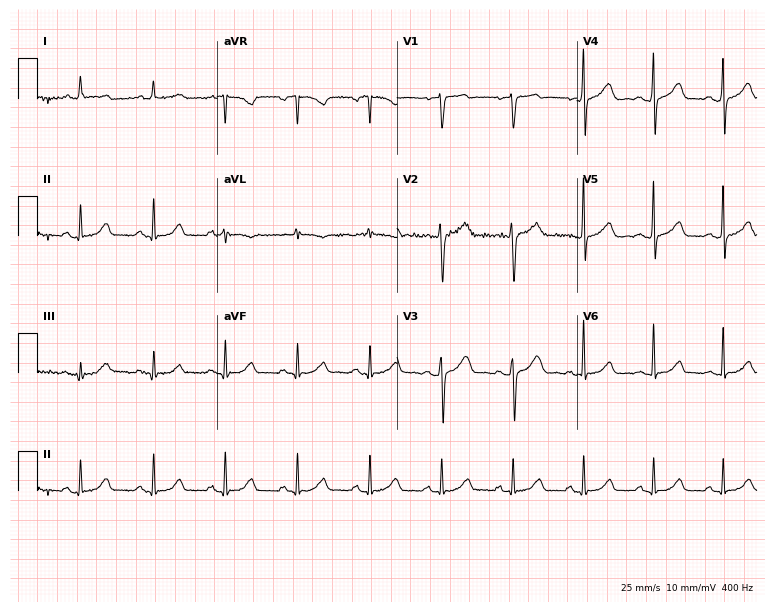
ECG — a female patient, 50 years old. Screened for six findings — first-degree AV block, right bundle branch block, left bundle branch block, sinus bradycardia, atrial fibrillation, sinus tachycardia — none is recorded. Other findings, if any, are not listed.